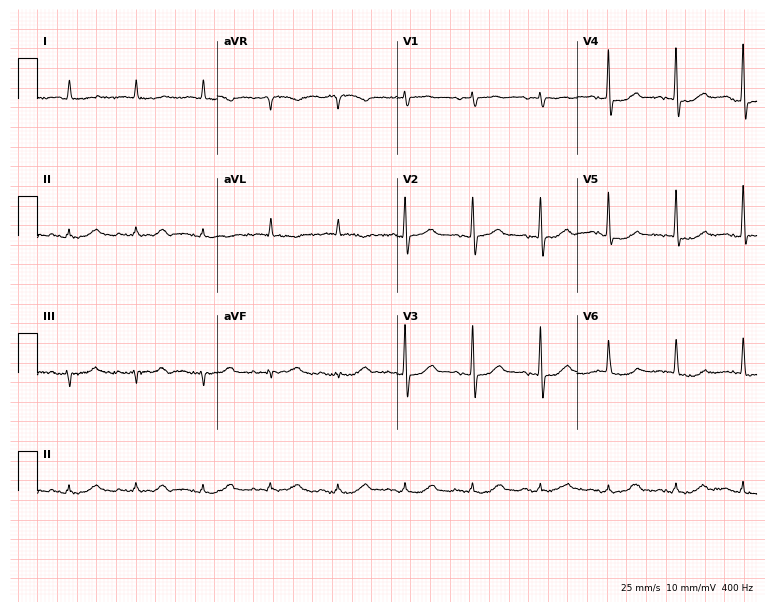
Standard 12-lead ECG recorded from an 82-year-old male patient. Read as a normal ECG.